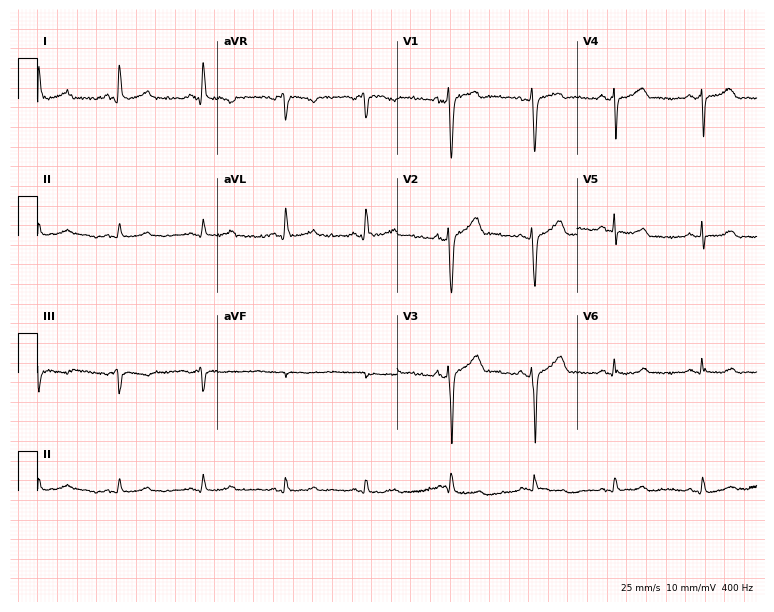
Resting 12-lead electrocardiogram. Patient: a man, 26 years old. Read as a normal ECG.